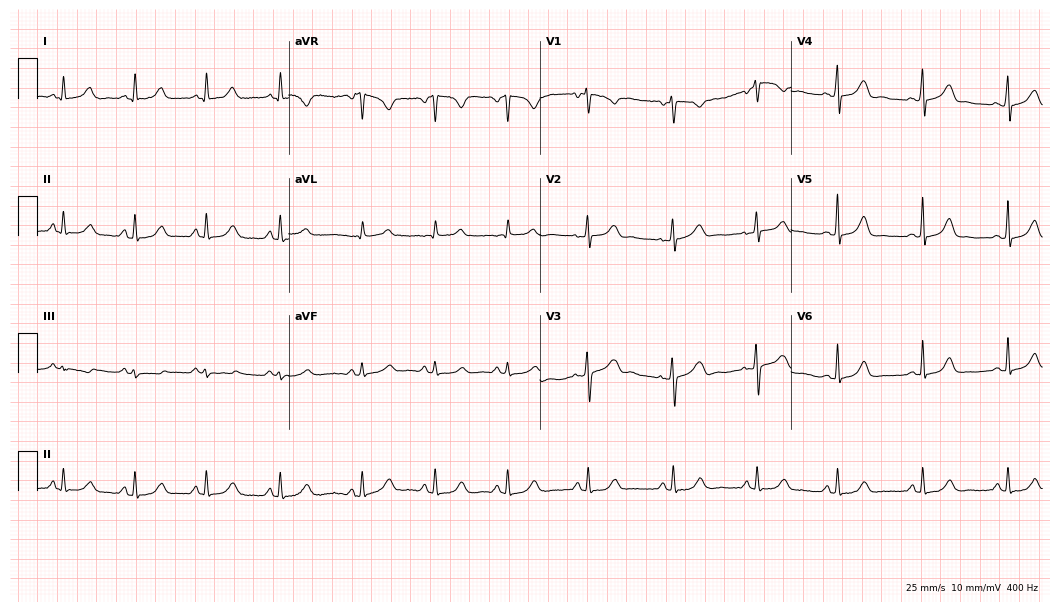
ECG — a 26-year-old female patient. Labelled as a normal ECG.